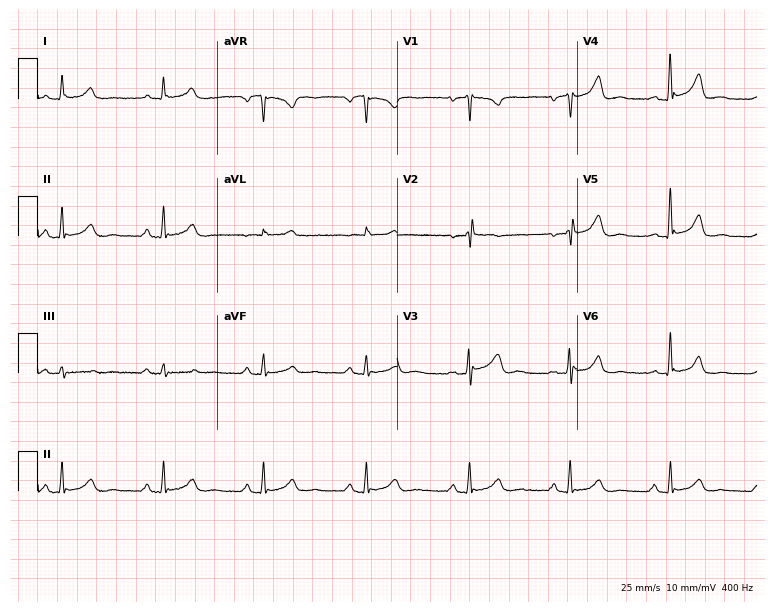
Standard 12-lead ECG recorded from a 47-year-old female patient. None of these six findings is recorded: first-degree AV block, right bundle branch block, left bundle branch block, sinus bradycardia, atrial fibrillation, sinus tachycardia. Findings outside these six are not listed.